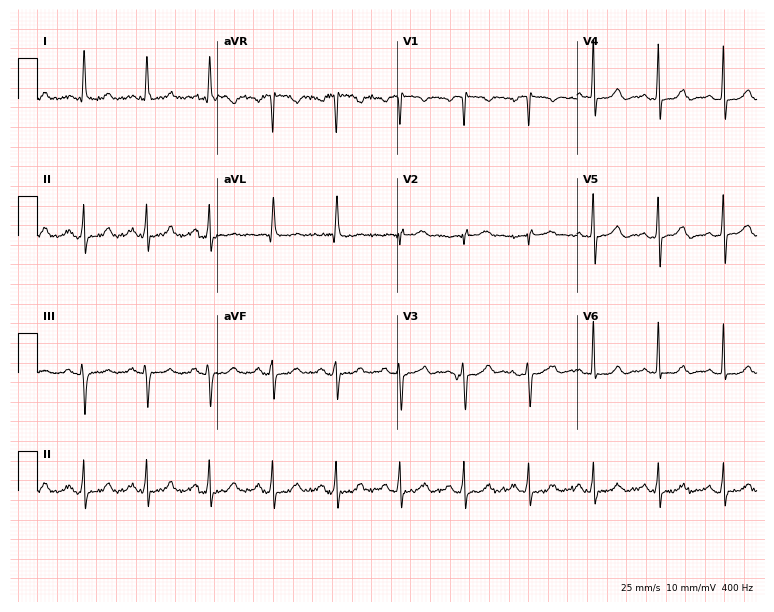
12-lead ECG from a 65-year-old female patient (7.3-second recording at 400 Hz). Recorded interpretation: within normal limits.